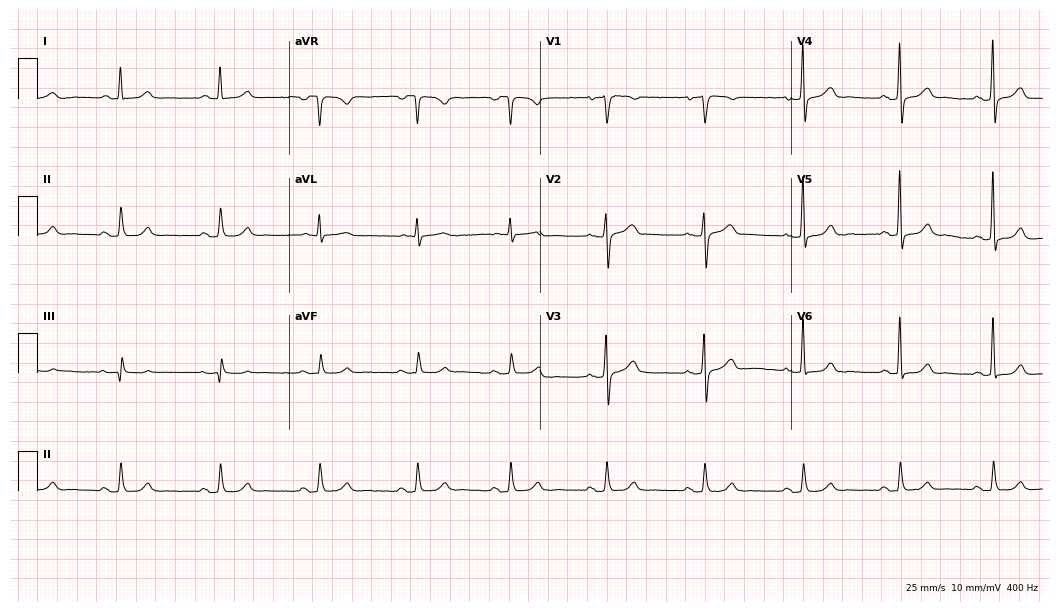
Standard 12-lead ECG recorded from a 67-year-old male. Read as a normal ECG.